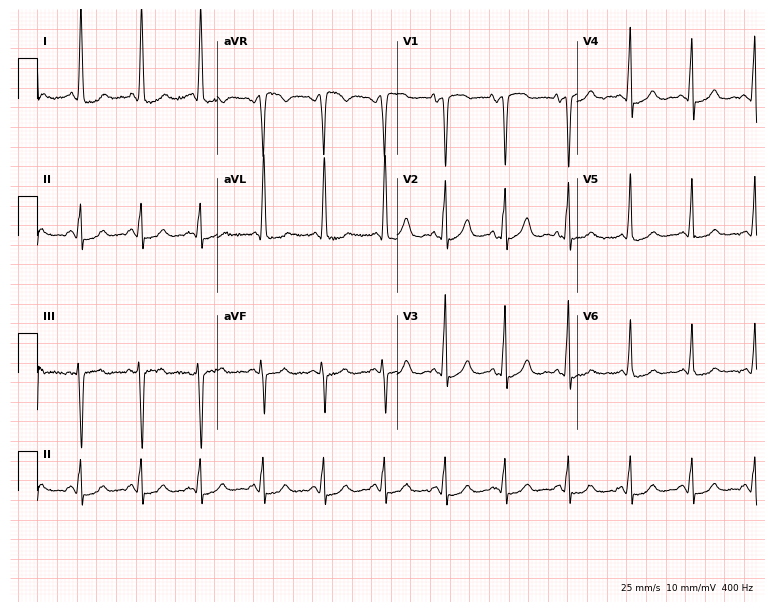
Standard 12-lead ECG recorded from a female patient, 78 years old. None of these six findings is recorded: first-degree AV block, right bundle branch block, left bundle branch block, sinus bradycardia, atrial fibrillation, sinus tachycardia.